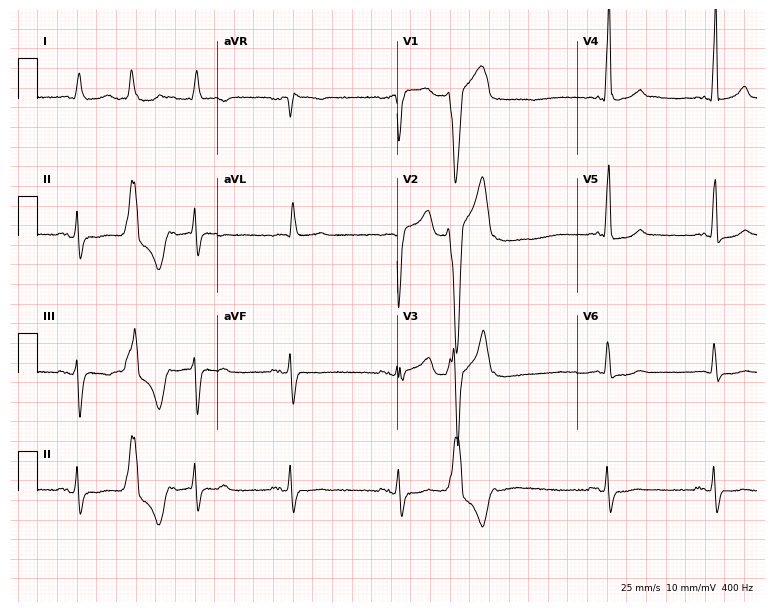
12-lead ECG from a male, 80 years old. No first-degree AV block, right bundle branch block, left bundle branch block, sinus bradycardia, atrial fibrillation or sinus tachycardia recorded for this tracing.